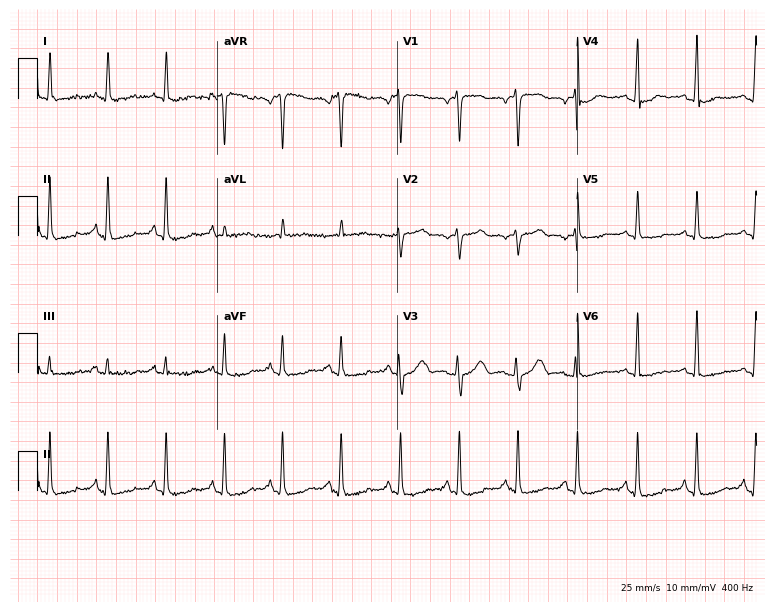
12-lead ECG (7.3-second recording at 400 Hz) from a 45-year-old female. Screened for six findings — first-degree AV block, right bundle branch block, left bundle branch block, sinus bradycardia, atrial fibrillation, sinus tachycardia — none is recorded. Other findings, if any, are not listed.